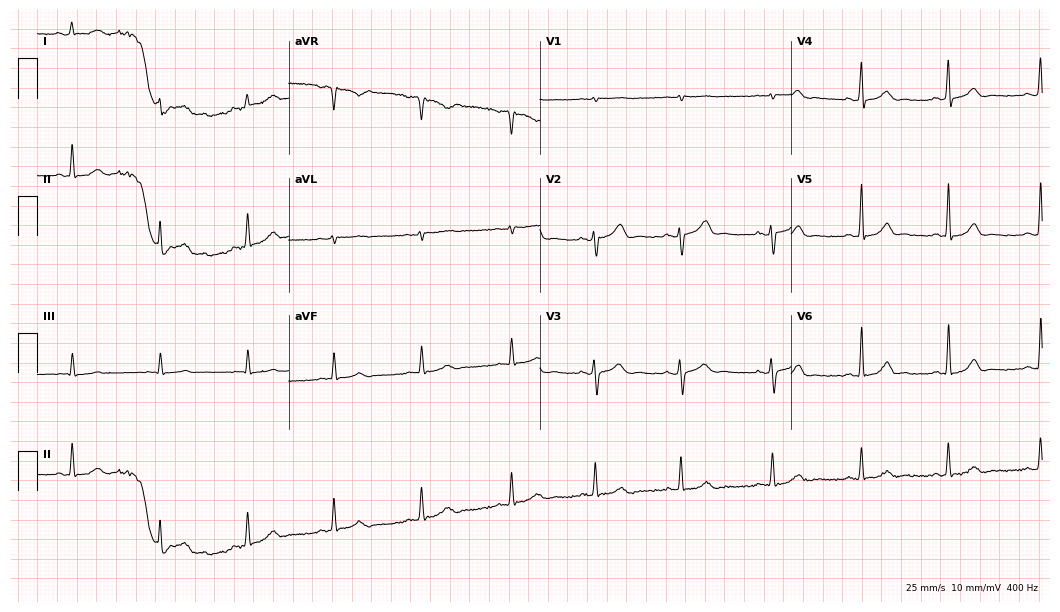
12-lead ECG from a female, 25 years old (10.2-second recording at 400 Hz). Recorded interpretation: within normal limits.